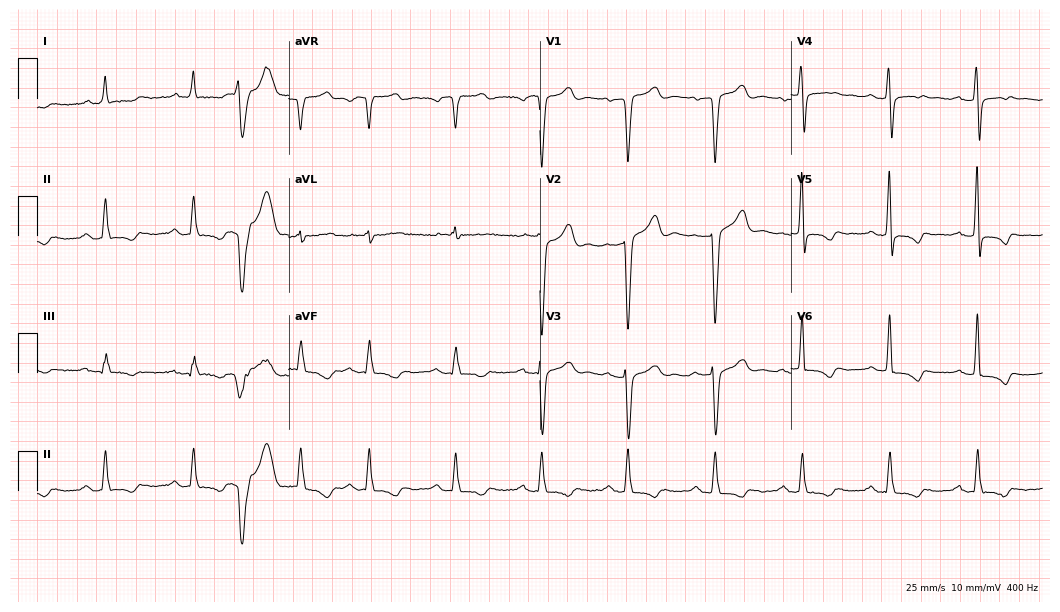
12-lead ECG from a 78-year-old male. No first-degree AV block, right bundle branch block, left bundle branch block, sinus bradycardia, atrial fibrillation or sinus tachycardia recorded for this tracing.